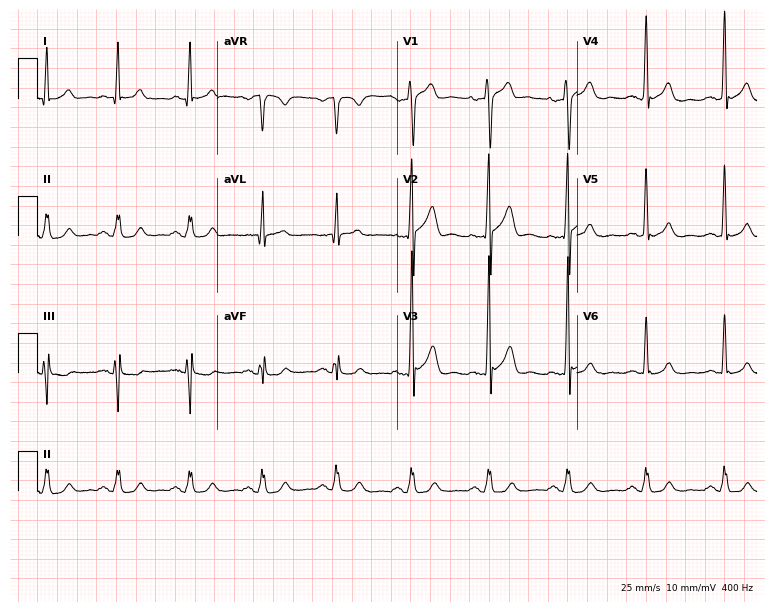
Standard 12-lead ECG recorded from a 46-year-old male. Read as a normal ECG.